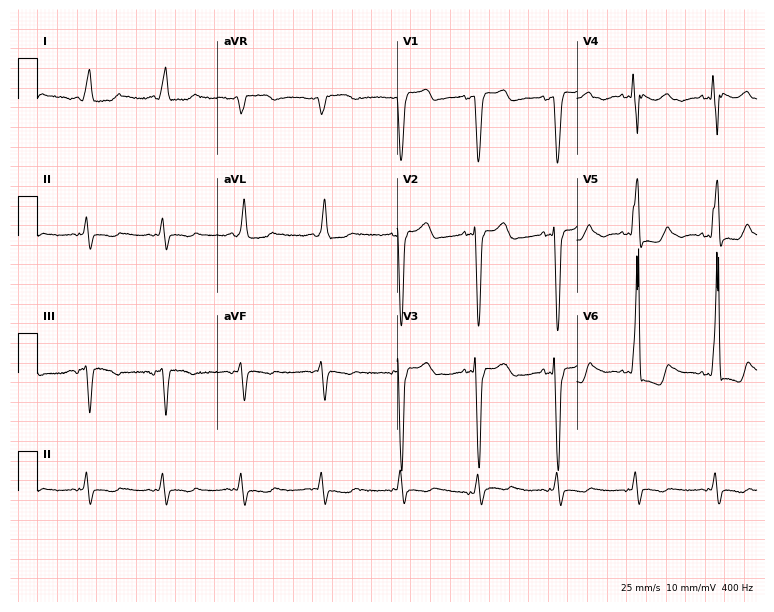
Standard 12-lead ECG recorded from a 71-year-old female. The tracing shows left bundle branch block.